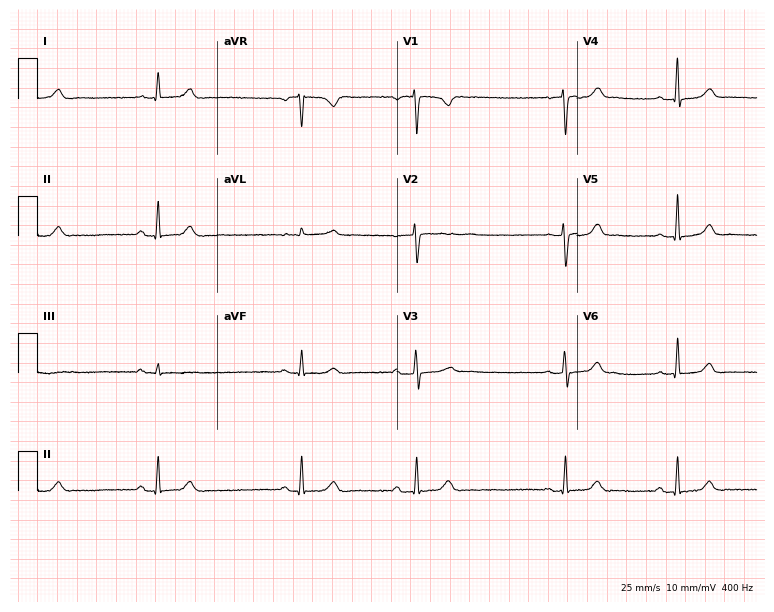
Electrocardiogram (7.3-second recording at 400 Hz), a 43-year-old female. Overall reading on record: normal ECG.